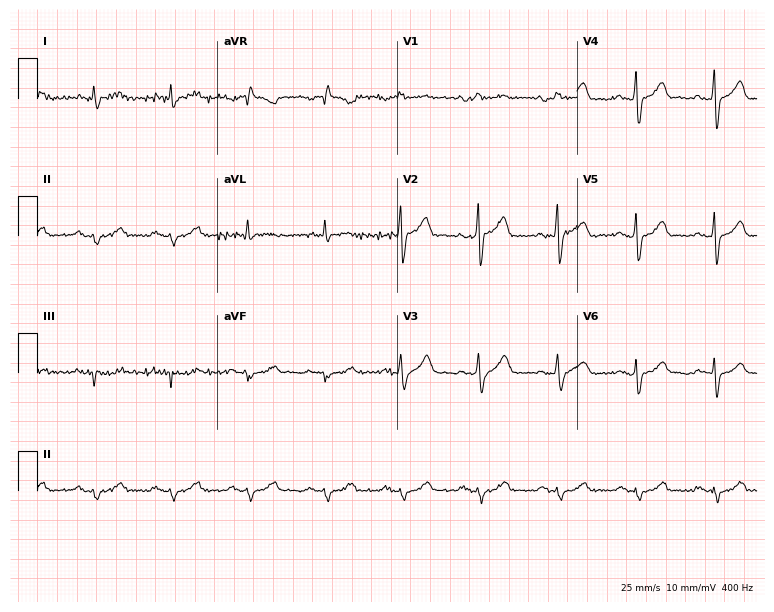
Standard 12-lead ECG recorded from a male, 46 years old. None of these six findings is recorded: first-degree AV block, right bundle branch block, left bundle branch block, sinus bradycardia, atrial fibrillation, sinus tachycardia. Only these six findings were labelled.